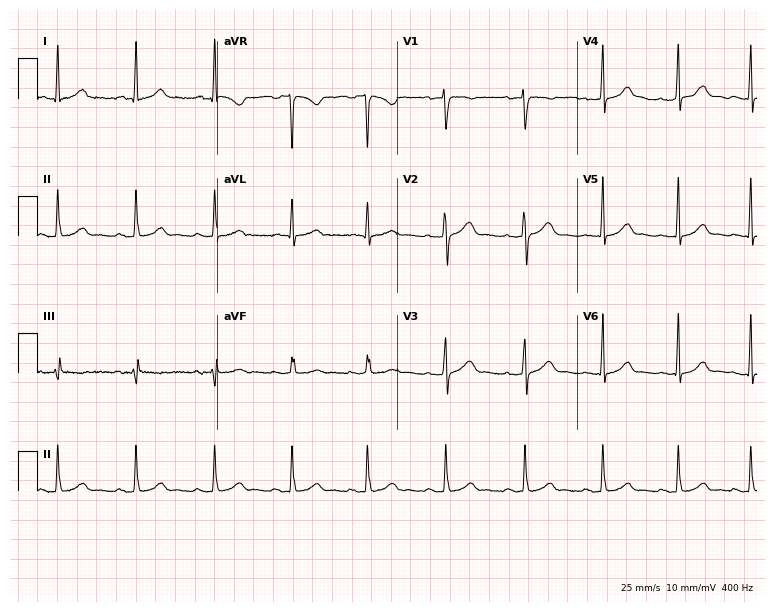
12-lead ECG from a 22-year-old female patient (7.3-second recording at 400 Hz). Recorded interpretation: within normal limits.